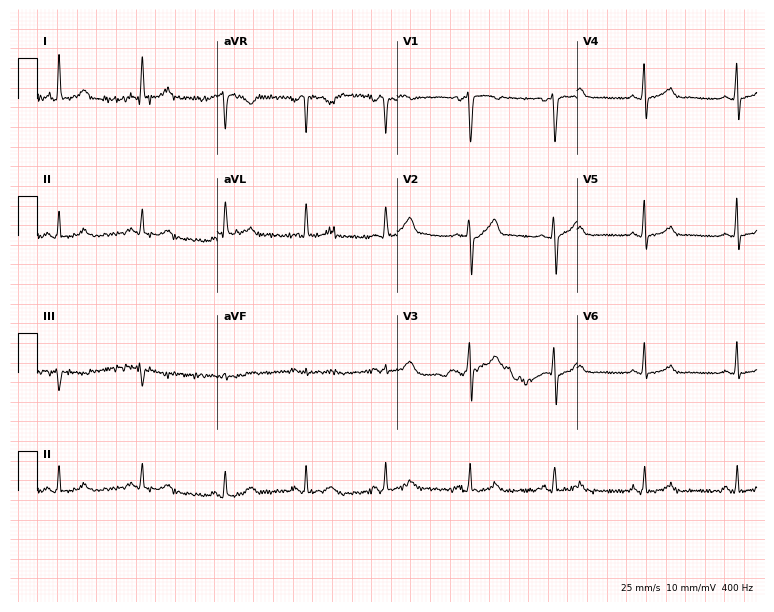
12-lead ECG from a 47-year-old woman (7.3-second recording at 400 Hz). Recorded interpretation: within normal limits.